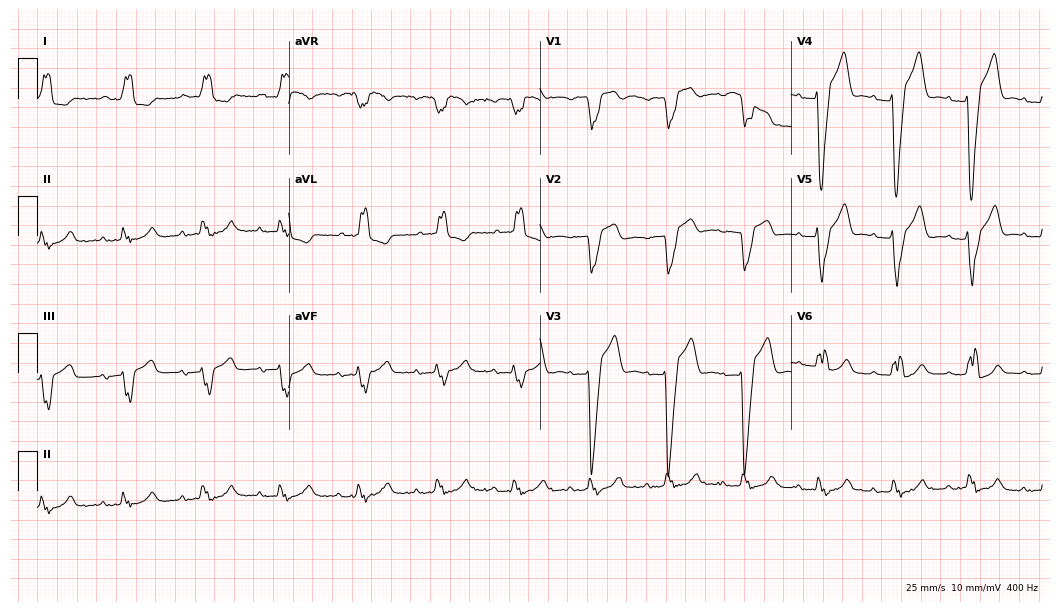
Standard 12-lead ECG recorded from an 81-year-old man. The tracing shows left bundle branch block.